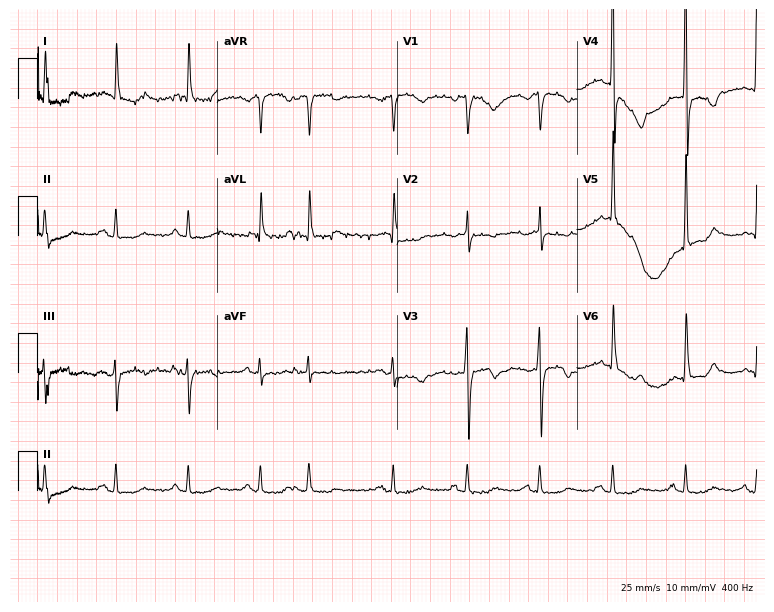
Electrocardiogram (7.3-second recording at 400 Hz), an 83-year-old woman. Interpretation includes atrial fibrillation.